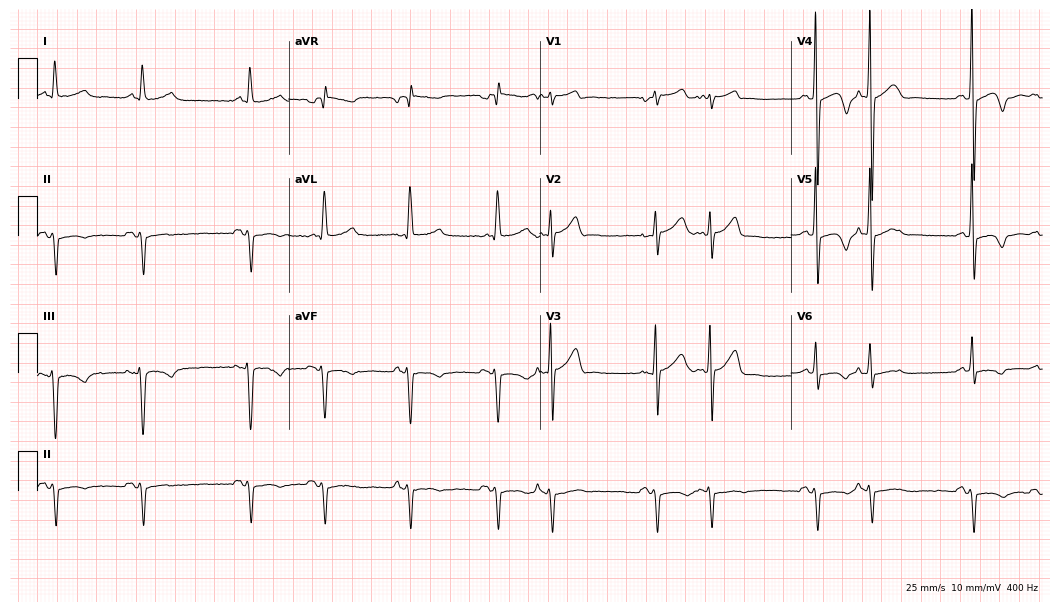
Electrocardiogram, a 69-year-old man. Of the six screened findings (first-degree AV block, right bundle branch block (RBBB), left bundle branch block (LBBB), sinus bradycardia, atrial fibrillation (AF), sinus tachycardia), none is recorded. Other findings, if any, are not listed.